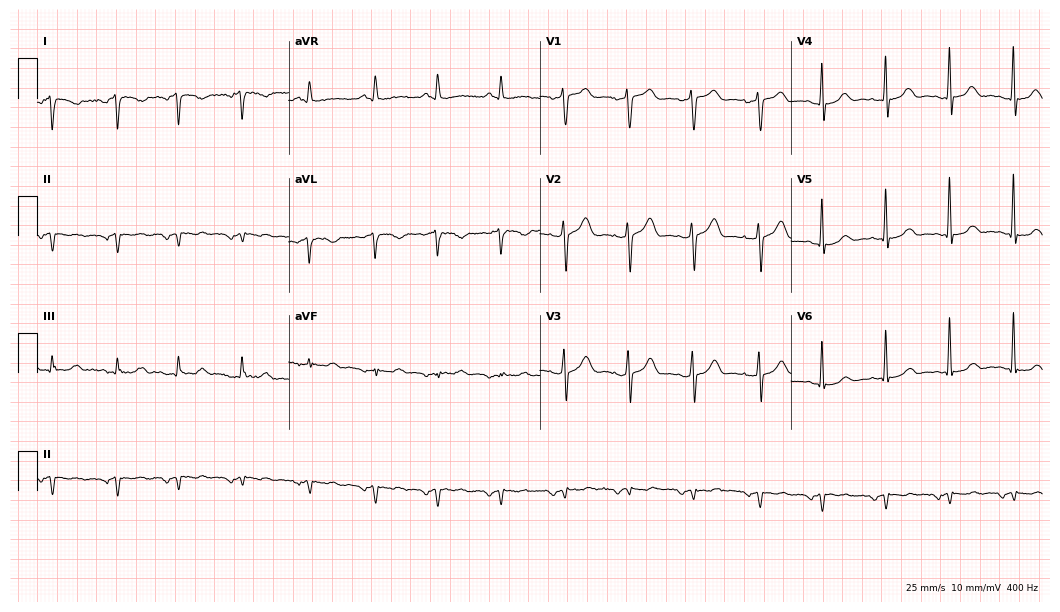
Resting 12-lead electrocardiogram. Patient: a 76-year-old female. None of these six findings is recorded: first-degree AV block, right bundle branch block (RBBB), left bundle branch block (LBBB), sinus bradycardia, atrial fibrillation (AF), sinus tachycardia.